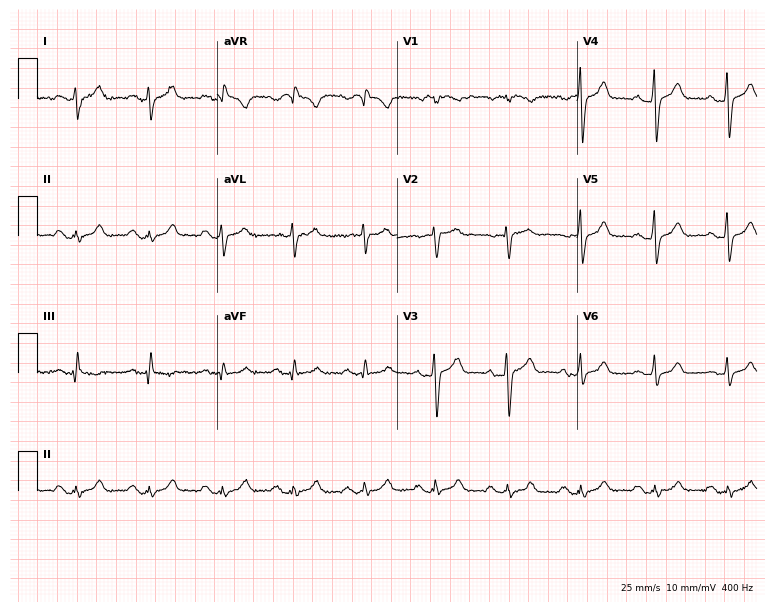
Standard 12-lead ECG recorded from a female patient, 48 years old. None of these six findings is recorded: first-degree AV block, right bundle branch block, left bundle branch block, sinus bradycardia, atrial fibrillation, sinus tachycardia. Findings outside these six are not listed.